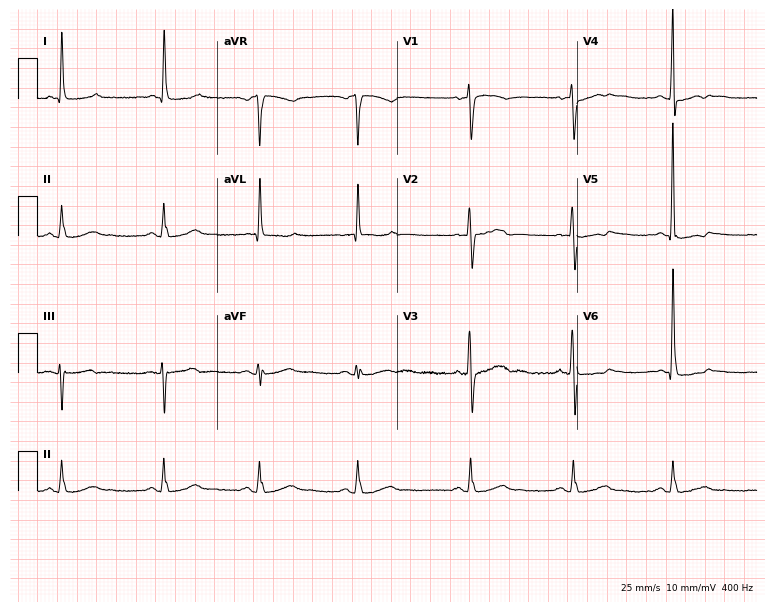
12-lead ECG from a female patient, 80 years old. Labelled as a normal ECG.